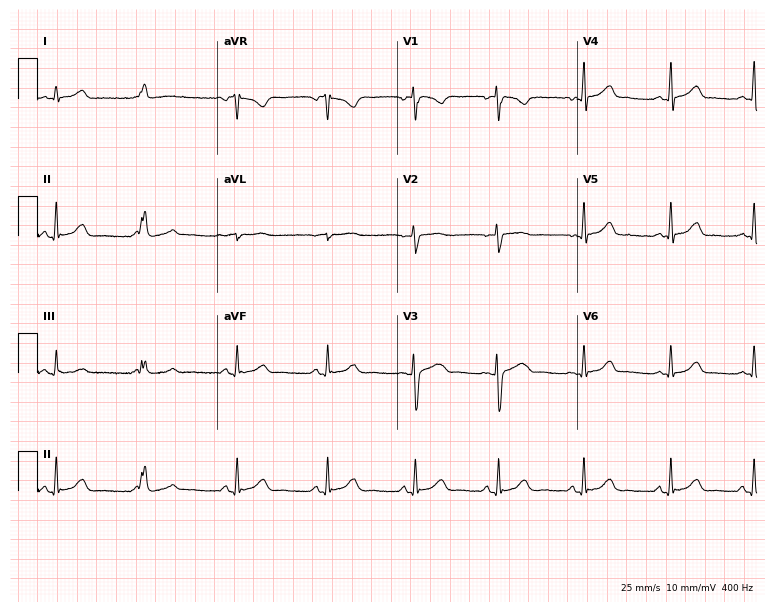
Electrocardiogram, a 23-year-old female patient. Of the six screened findings (first-degree AV block, right bundle branch block (RBBB), left bundle branch block (LBBB), sinus bradycardia, atrial fibrillation (AF), sinus tachycardia), none is recorded. Other findings, if any, are not listed.